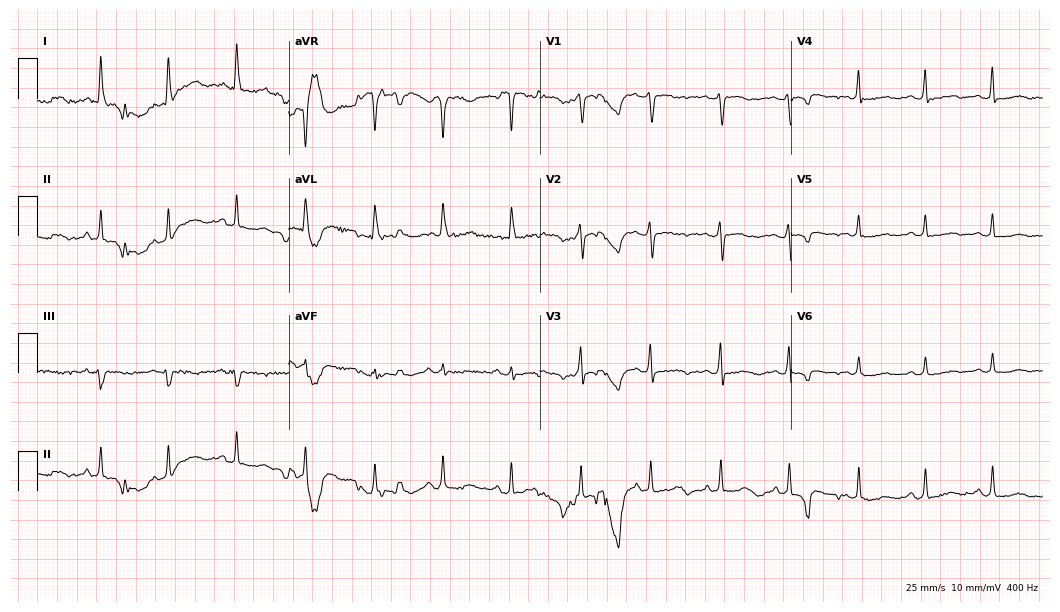
ECG (10.2-second recording at 400 Hz) — a woman, 51 years old. Screened for six findings — first-degree AV block, right bundle branch block, left bundle branch block, sinus bradycardia, atrial fibrillation, sinus tachycardia — none is recorded. Findings outside these six are not listed.